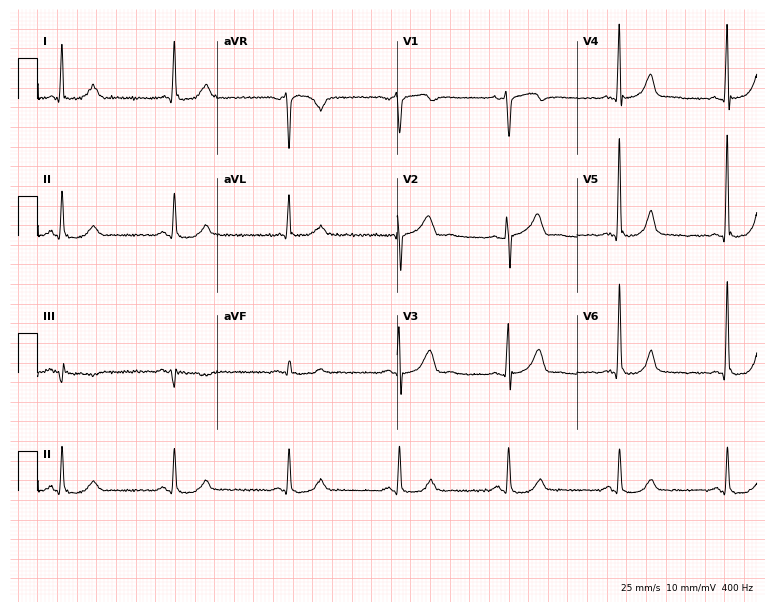
Resting 12-lead electrocardiogram. Patient: a 66-year-old man. Read as a normal ECG.